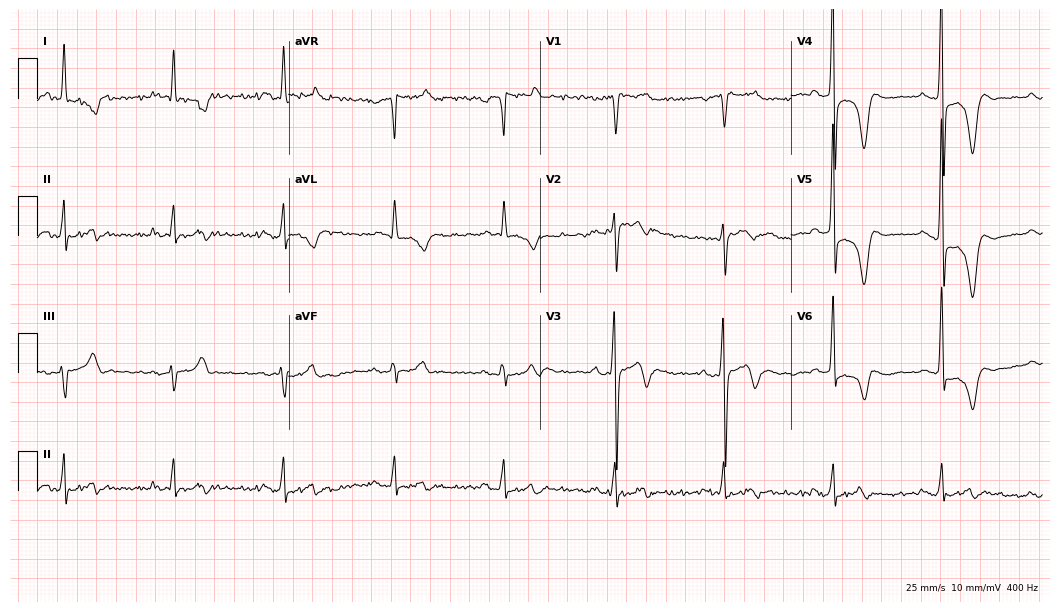
Electrocardiogram (10.2-second recording at 400 Hz), a 66-year-old male. Of the six screened findings (first-degree AV block, right bundle branch block, left bundle branch block, sinus bradycardia, atrial fibrillation, sinus tachycardia), none is recorded.